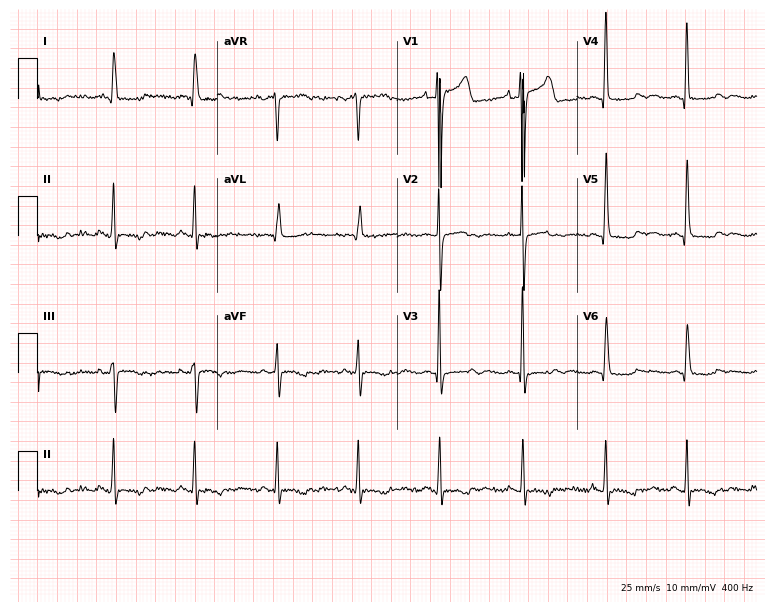
12-lead ECG (7.3-second recording at 400 Hz) from a 53-year-old male patient. Screened for six findings — first-degree AV block, right bundle branch block, left bundle branch block, sinus bradycardia, atrial fibrillation, sinus tachycardia — none is recorded.